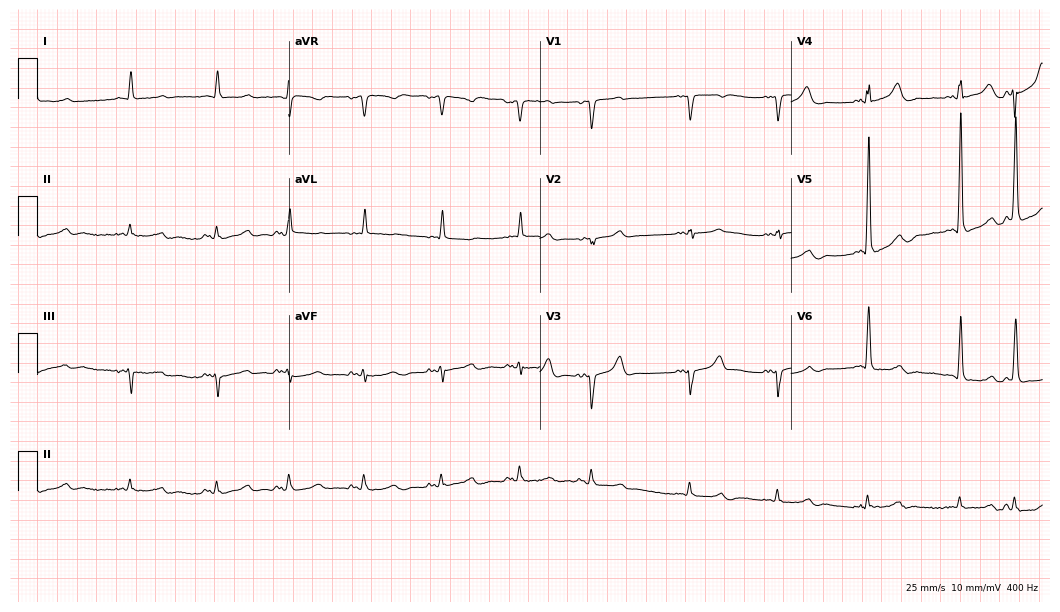
Electrocardiogram (10.2-second recording at 400 Hz), a 72-year-old male. Of the six screened findings (first-degree AV block, right bundle branch block, left bundle branch block, sinus bradycardia, atrial fibrillation, sinus tachycardia), none is recorded. Findings outside these six are not listed.